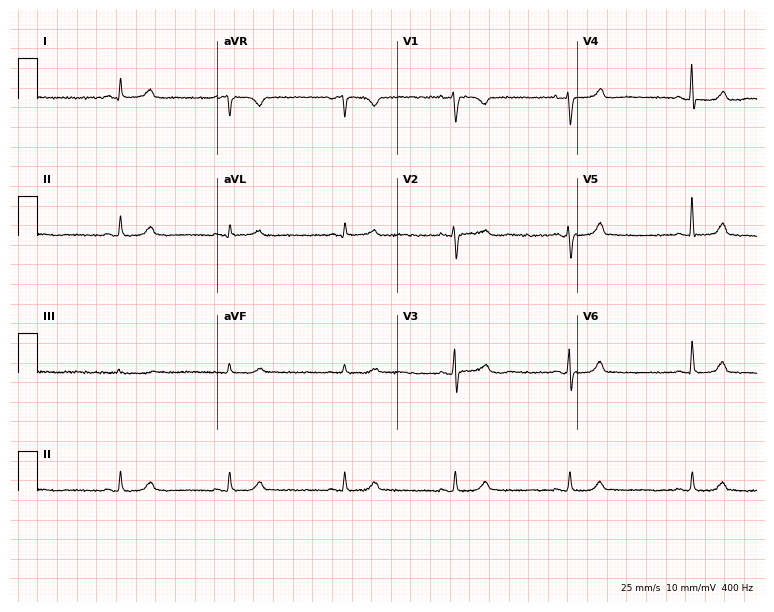
Resting 12-lead electrocardiogram. Patient: a 46-year-old woman. None of these six findings is recorded: first-degree AV block, right bundle branch block, left bundle branch block, sinus bradycardia, atrial fibrillation, sinus tachycardia. Only these six findings were labelled.